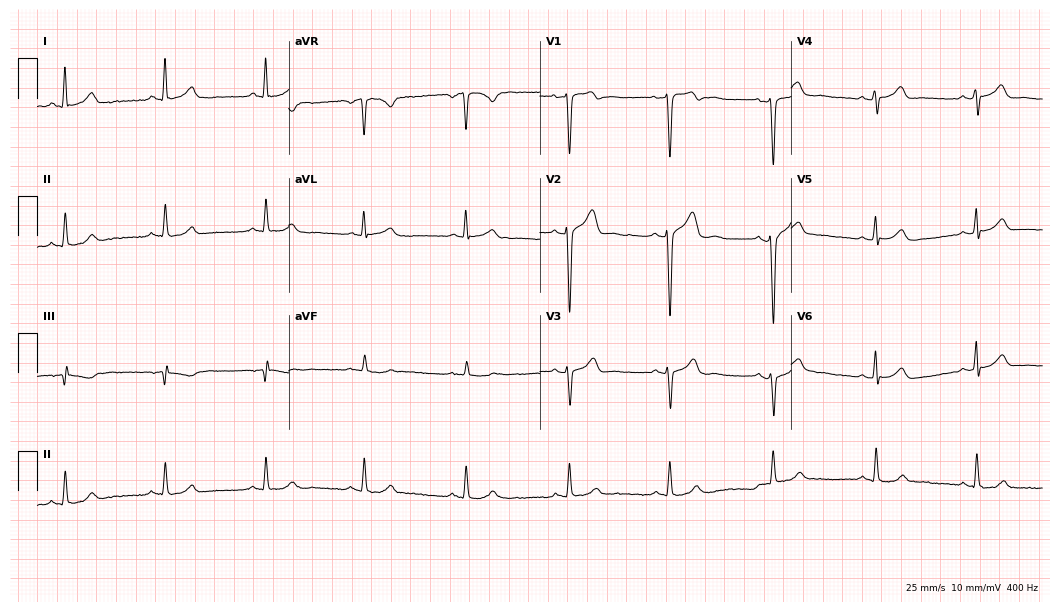
12-lead ECG from a 56-year-old male patient (10.2-second recording at 400 Hz). Recorded interpretation: within normal limits.